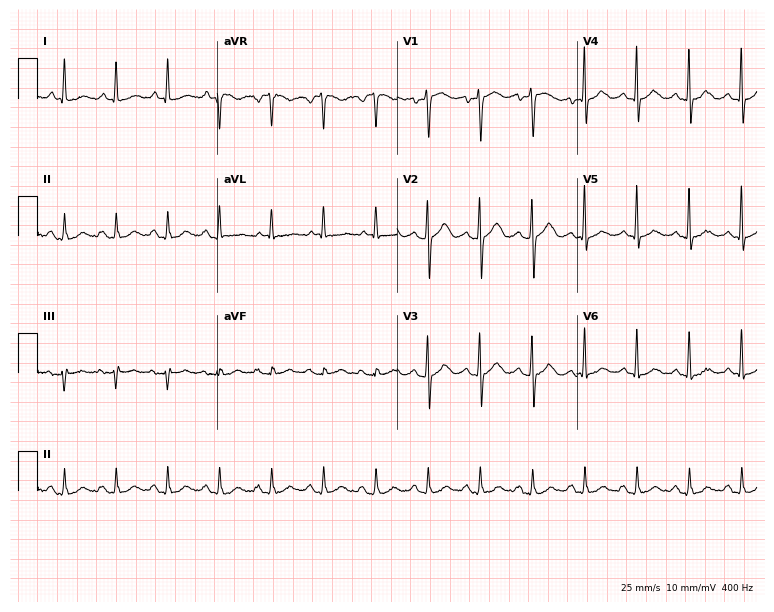
Standard 12-lead ECG recorded from a male patient, 61 years old (7.3-second recording at 400 Hz). The tracing shows sinus tachycardia (a sinus rate of 100 beats per minute or more).